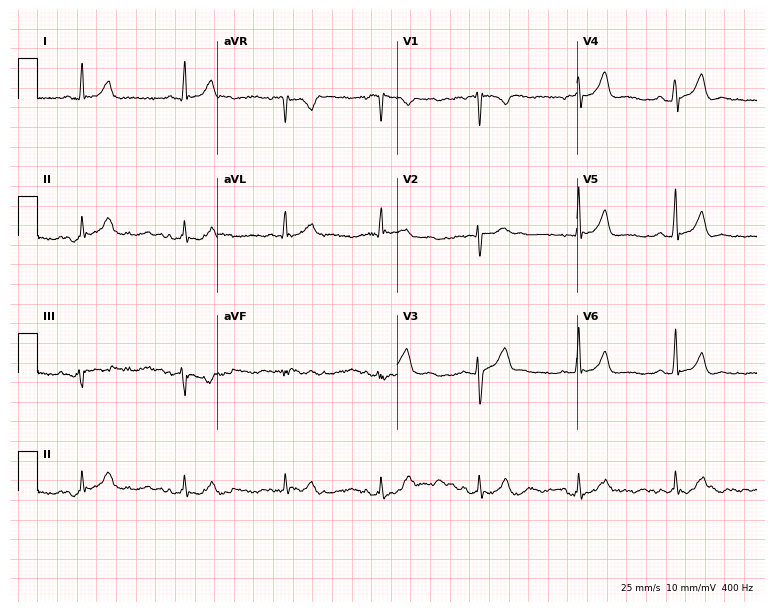
12-lead ECG from a male, 53 years old. Labelled as a normal ECG.